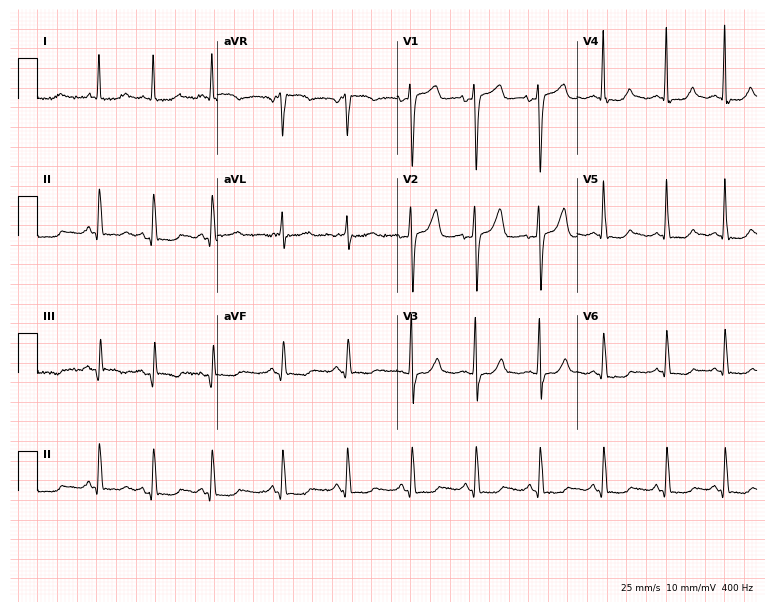
Electrocardiogram, a woman, 59 years old. Of the six screened findings (first-degree AV block, right bundle branch block, left bundle branch block, sinus bradycardia, atrial fibrillation, sinus tachycardia), none is recorded.